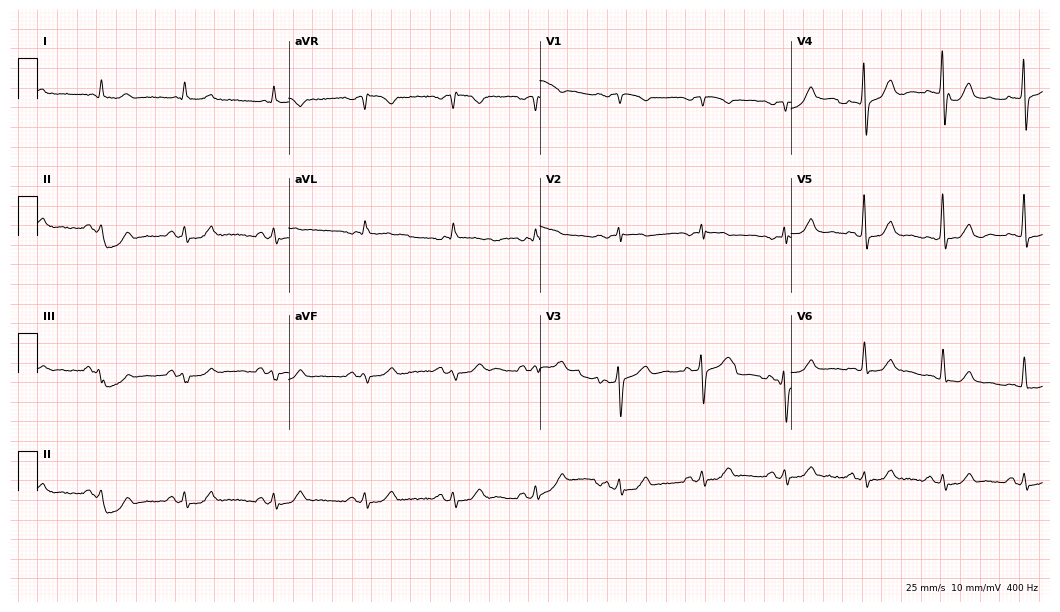
Standard 12-lead ECG recorded from a 72-year-old male. None of these six findings is recorded: first-degree AV block, right bundle branch block, left bundle branch block, sinus bradycardia, atrial fibrillation, sinus tachycardia. Other findings, if any, are not listed.